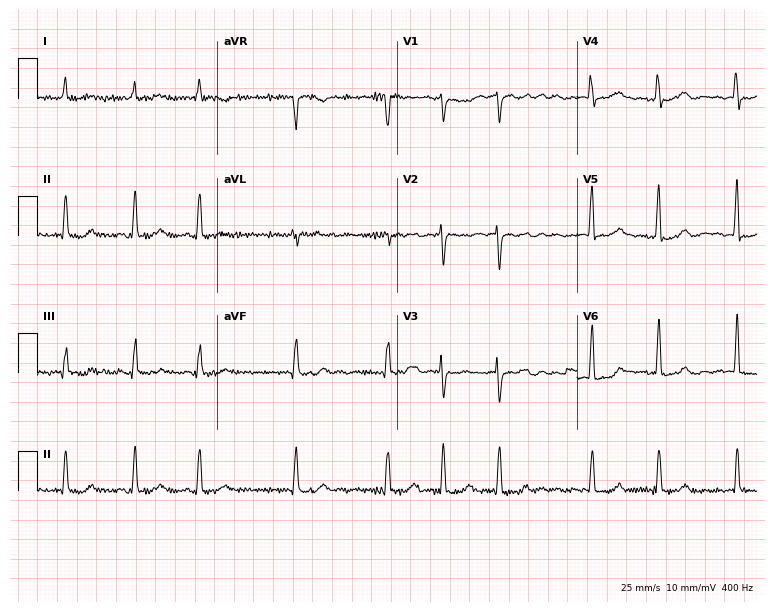
Standard 12-lead ECG recorded from a female, 65 years old (7.3-second recording at 400 Hz). The tracing shows atrial fibrillation.